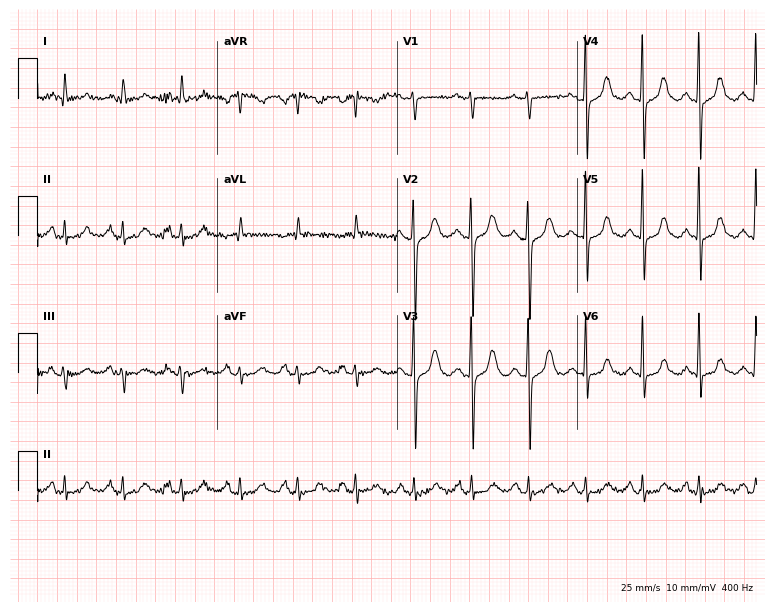
Standard 12-lead ECG recorded from a 64-year-old female. The tracing shows sinus tachycardia (a sinus rate of 100 beats per minute or more).